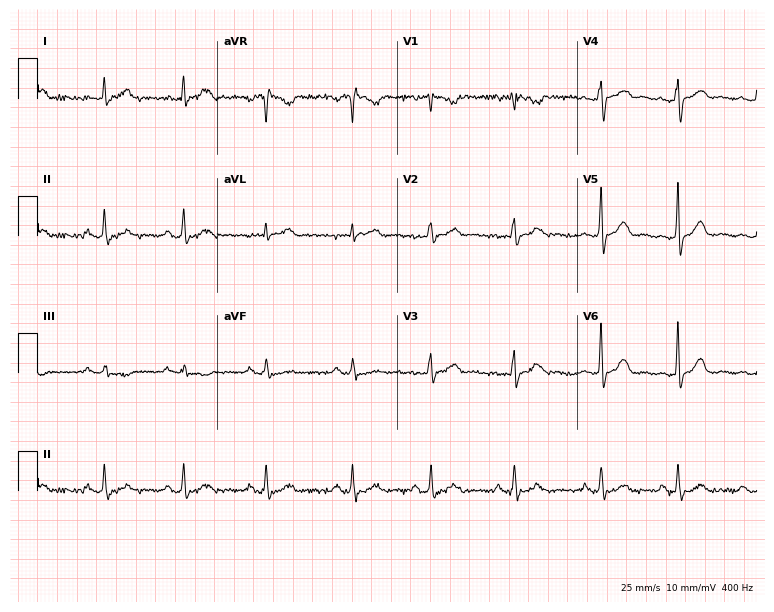
12-lead ECG from a woman, 36 years old. Labelled as a normal ECG.